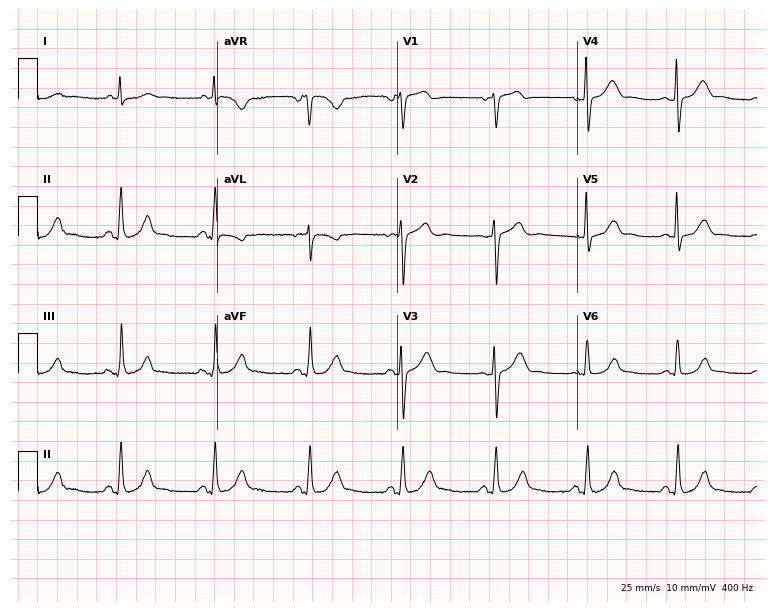
12-lead ECG from a 63-year-old woman. Labelled as a normal ECG.